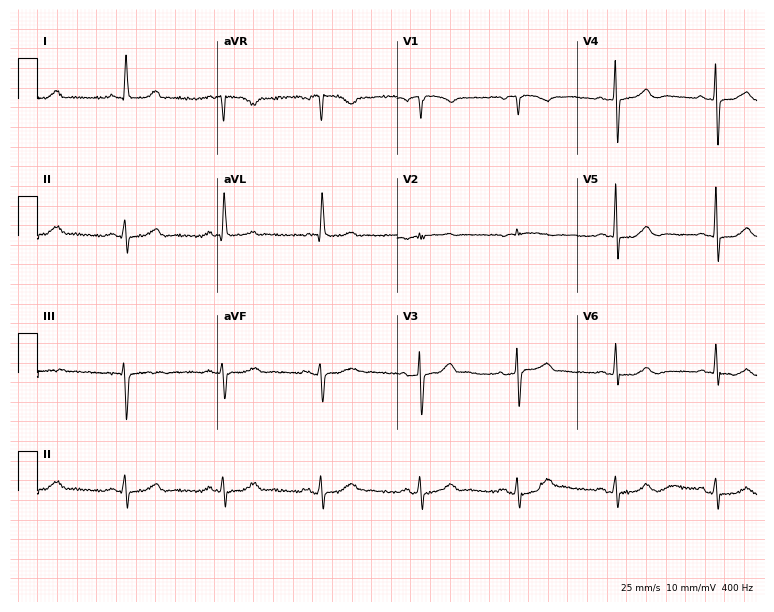
Resting 12-lead electrocardiogram. Patient: a female, 73 years old. Read as a normal ECG.